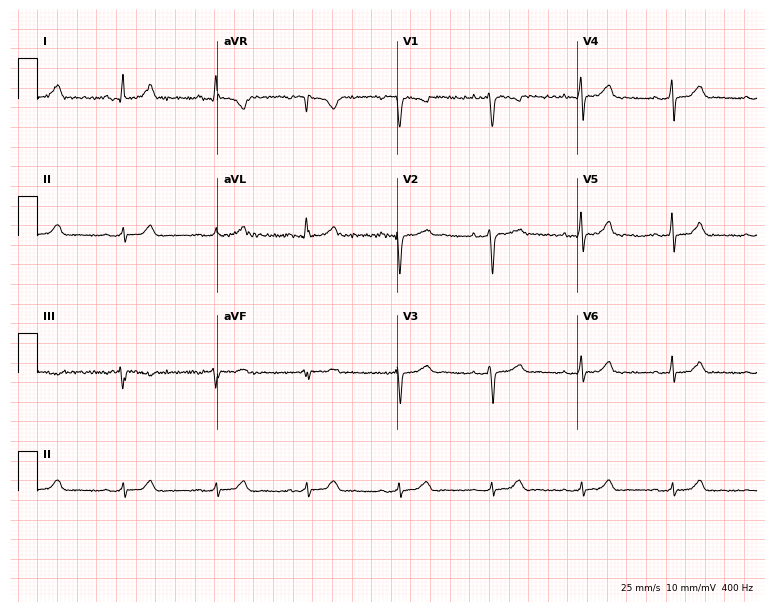
Standard 12-lead ECG recorded from a female, 38 years old. Read as a normal ECG.